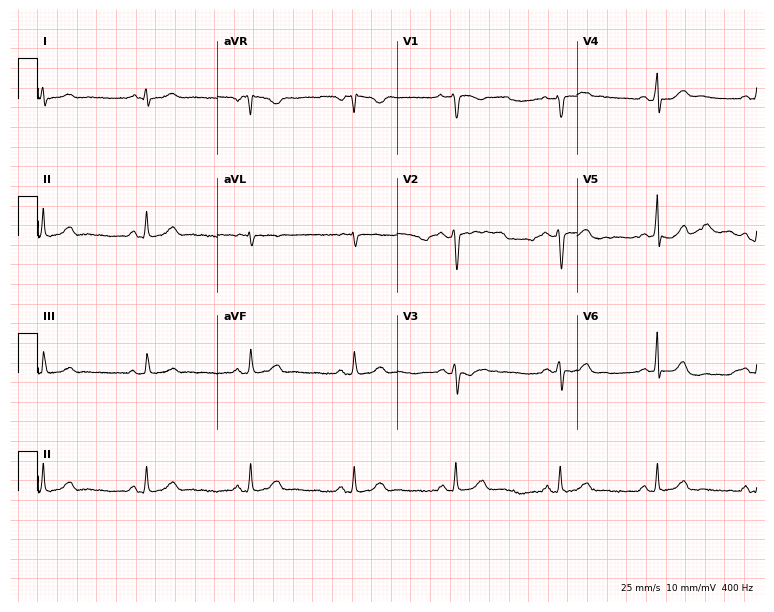
12-lead ECG from a woman, 22 years old. No first-degree AV block, right bundle branch block, left bundle branch block, sinus bradycardia, atrial fibrillation or sinus tachycardia recorded for this tracing.